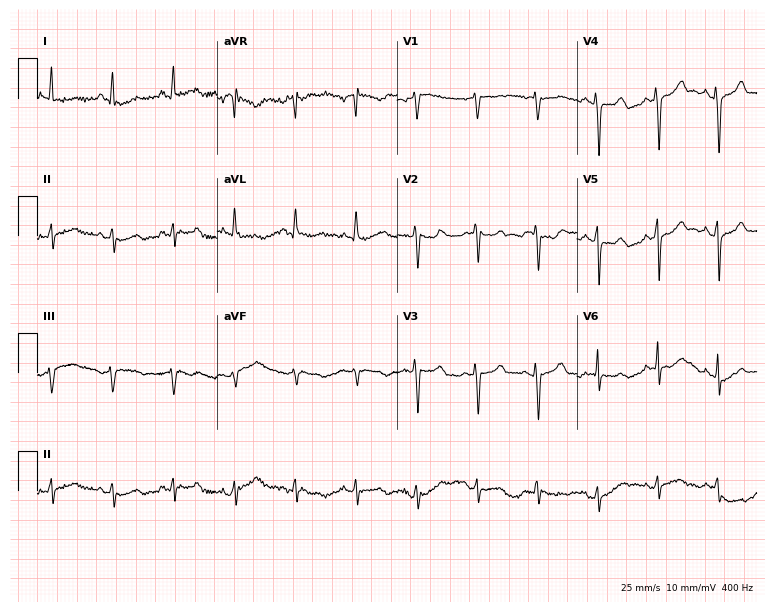
Electrocardiogram (7.3-second recording at 400 Hz), a woman, 64 years old. Of the six screened findings (first-degree AV block, right bundle branch block, left bundle branch block, sinus bradycardia, atrial fibrillation, sinus tachycardia), none is recorded.